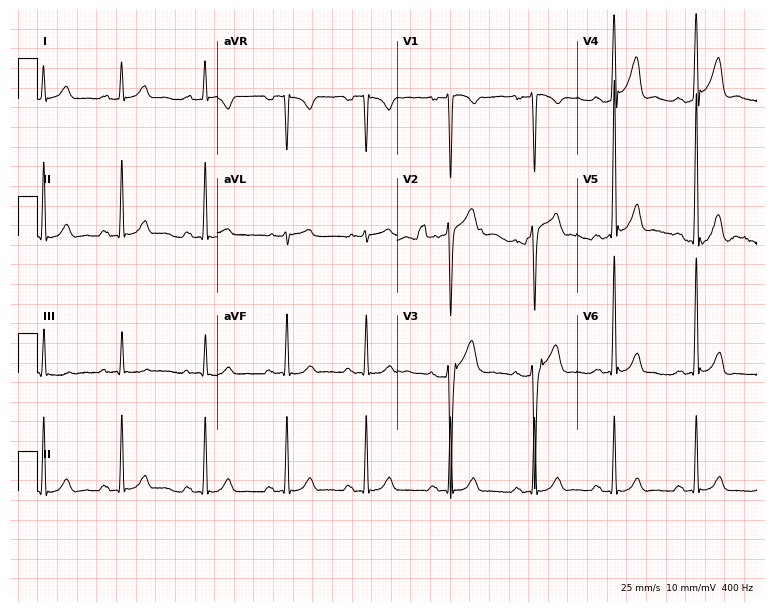
Electrocardiogram, a man, 37 years old. Overall reading on record: normal ECG.